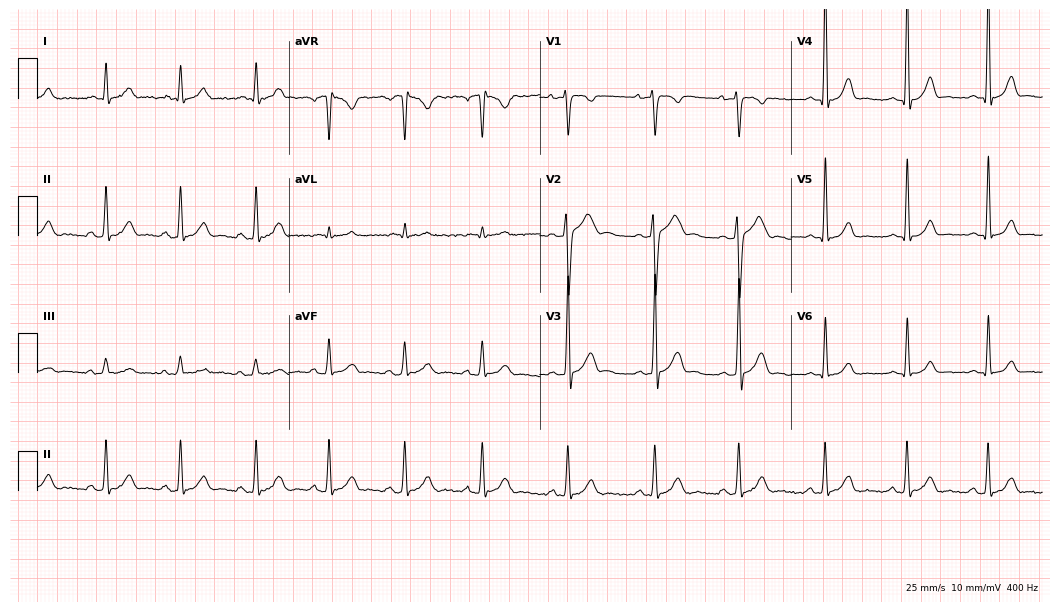
Resting 12-lead electrocardiogram. Patient: a 20-year-old male. None of these six findings is recorded: first-degree AV block, right bundle branch block, left bundle branch block, sinus bradycardia, atrial fibrillation, sinus tachycardia. Findings outside these six are not listed.